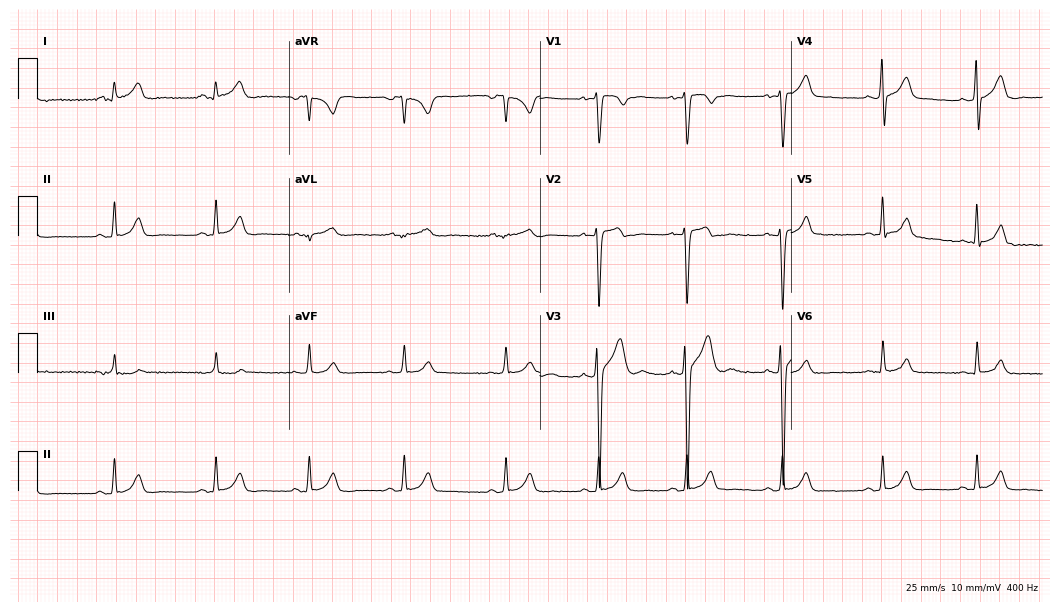
Resting 12-lead electrocardiogram (10.2-second recording at 400 Hz). Patient: a male, 20 years old. None of these six findings is recorded: first-degree AV block, right bundle branch block, left bundle branch block, sinus bradycardia, atrial fibrillation, sinus tachycardia.